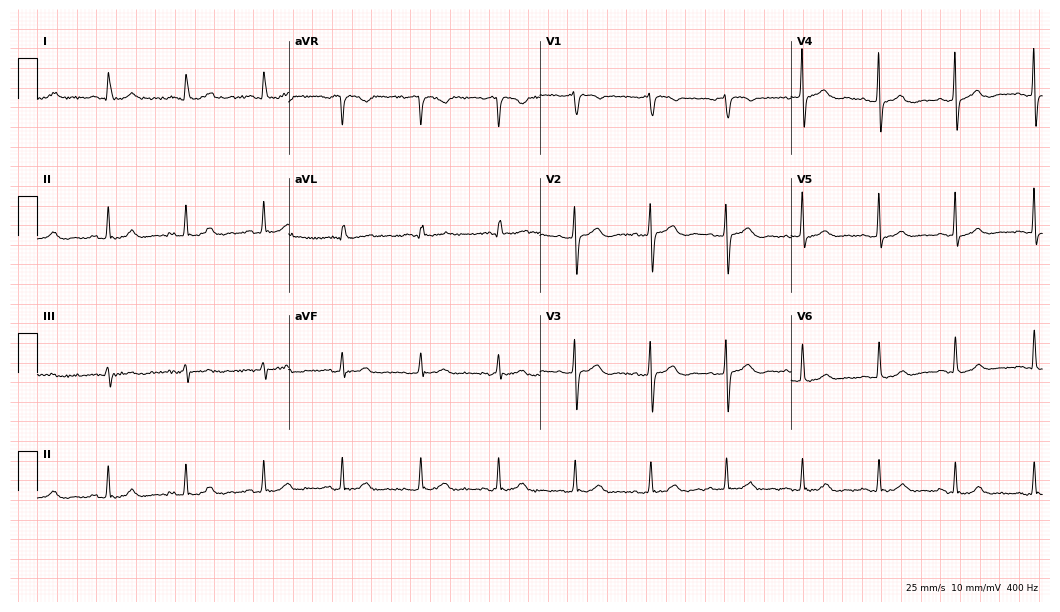
12-lead ECG from an 85-year-old female patient. Labelled as a normal ECG.